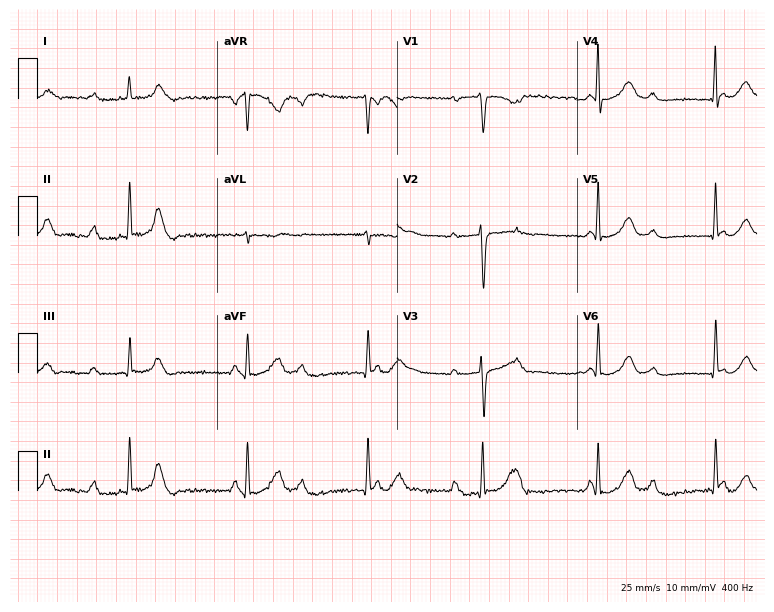
Electrocardiogram (7.3-second recording at 400 Hz), a female, 35 years old. Of the six screened findings (first-degree AV block, right bundle branch block (RBBB), left bundle branch block (LBBB), sinus bradycardia, atrial fibrillation (AF), sinus tachycardia), none is recorded.